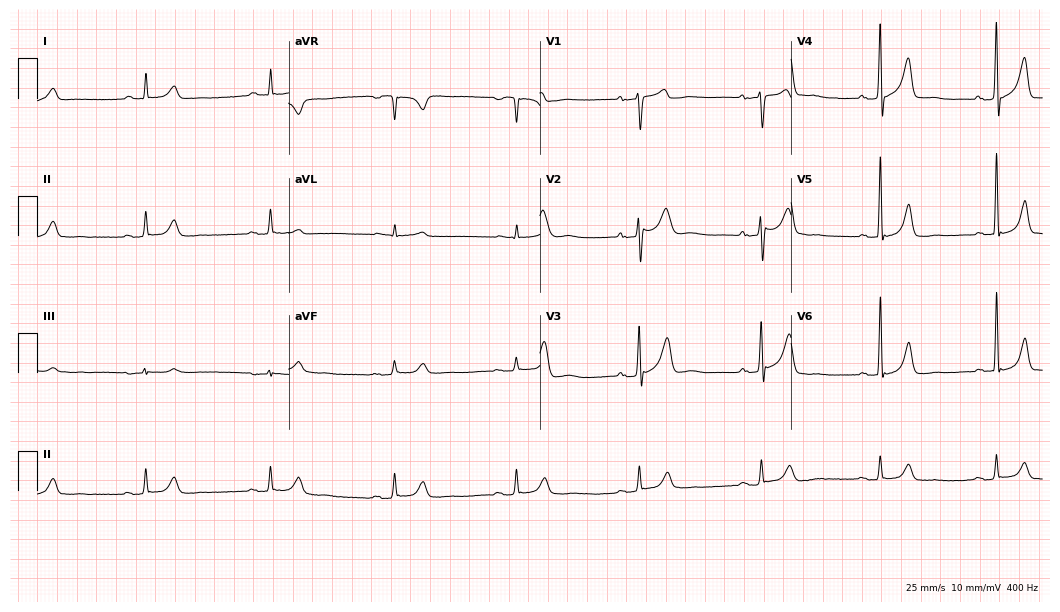
Resting 12-lead electrocardiogram. Patient: a male, 65 years old. The tracing shows sinus bradycardia (a sinus rate of 50 beats per minute or less).